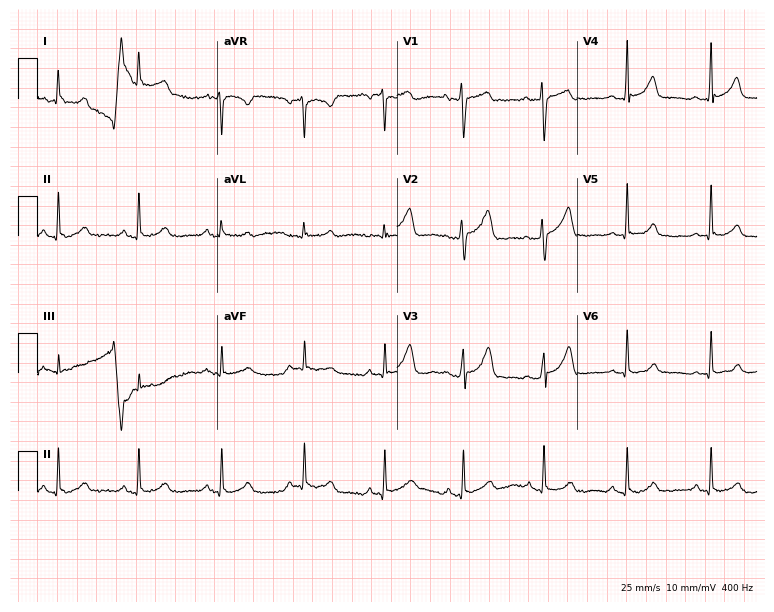
Standard 12-lead ECG recorded from a 50-year-old female (7.3-second recording at 400 Hz). None of these six findings is recorded: first-degree AV block, right bundle branch block, left bundle branch block, sinus bradycardia, atrial fibrillation, sinus tachycardia. Only these six findings were labelled.